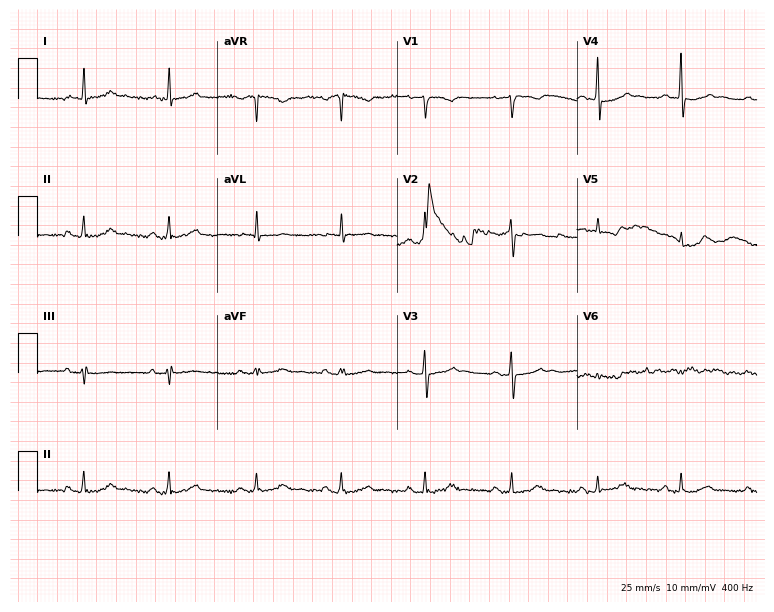
12-lead ECG from a 61-year-old male (7.3-second recording at 400 Hz). No first-degree AV block, right bundle branch block, left bundle branch block, sinus bradycardia, atrial fibrillation or sinus tachycardia recorded for this tracing.